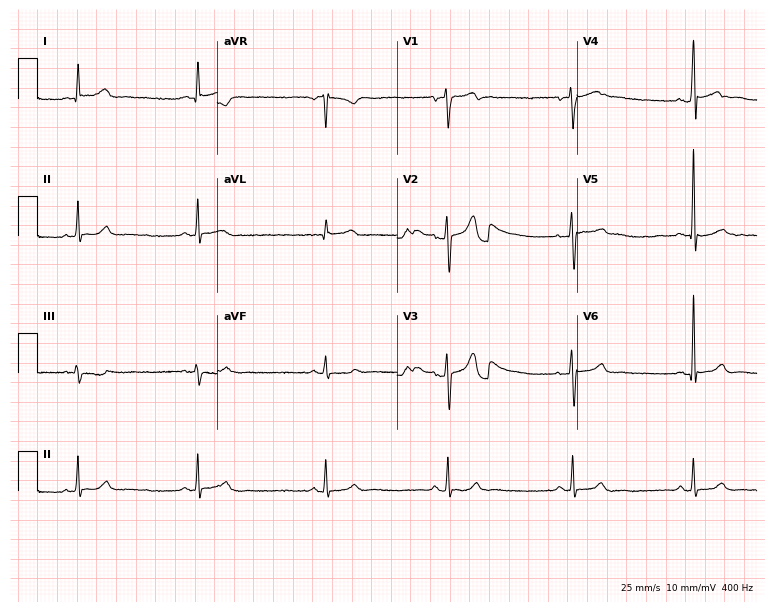
Standard 12-lead ECG recorded from a male patient, 38 years old (7.3-second recording at 400 Hz). Read as a normal ECG.